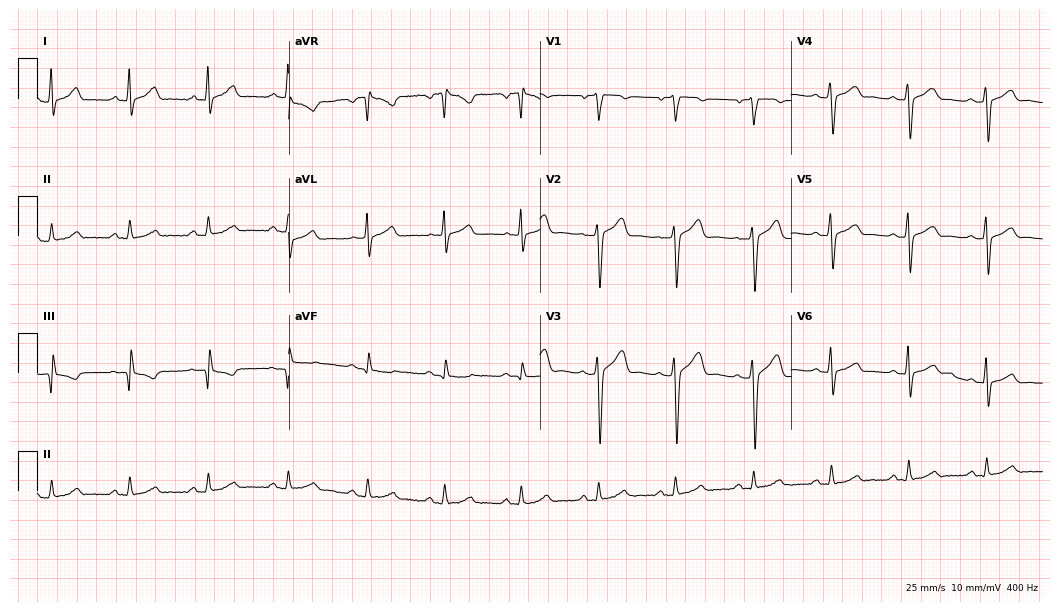
Standard 12-lead ECG recorded from a male patient, 41 years old (10.2-second recording at 400 Hz). Read as a normal ECG.